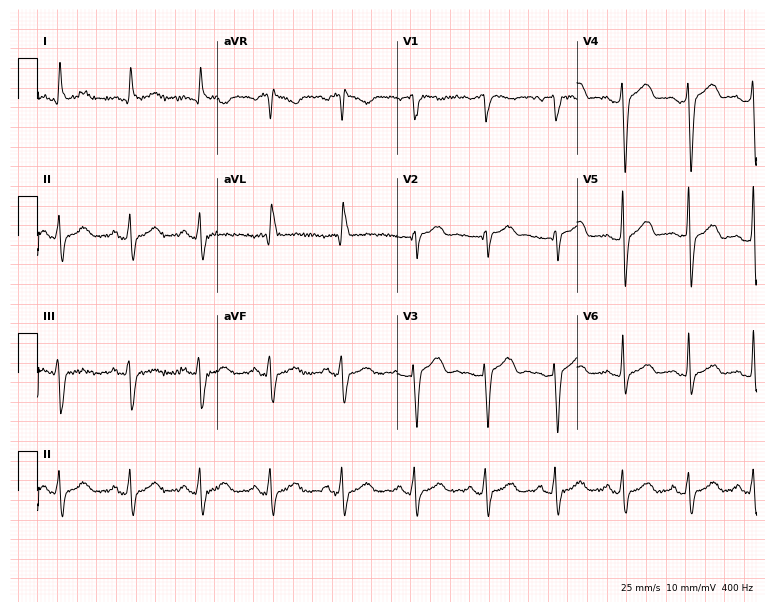
ECG — a woman, 53 years old. Screened for six findings — first-degree AV block, right bundle branch block (RBBB), left bundle branch block (LBBB), sinus bradycardia, atrial fibrillation (AF), sinus tachycardia — none is recorded.